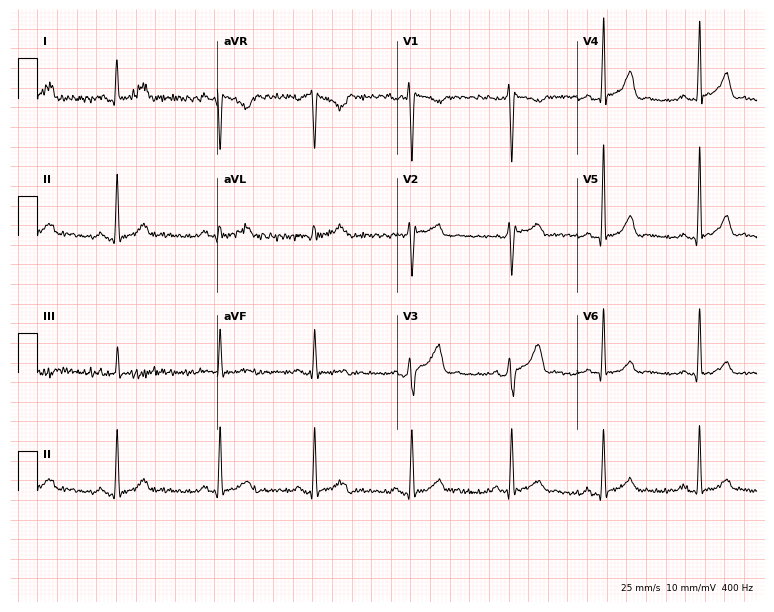
12-lead ECG (7.3-second recording at 400 Hz) from a 21-year-old male. Labelled as a normal ECG.